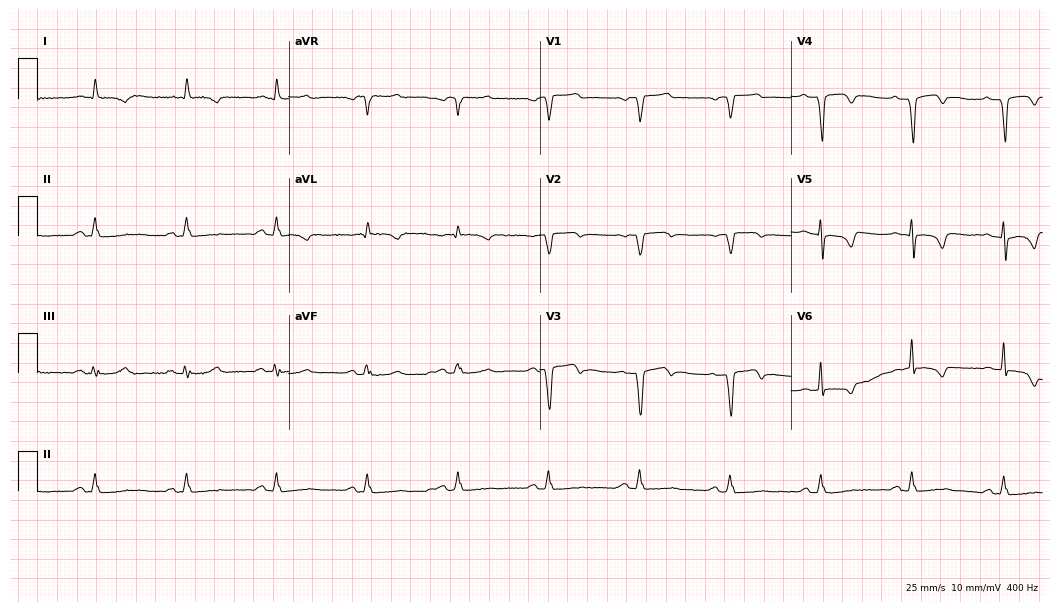
Resting 12-lead electrocardiogram. Patient: an 81-year-old man. None of these six findings is recorded: first-degree AV block, right bundle branch block, left bundle branch block, sinus bradycardia, atrial fibrillation, sinus tachycardia. Other findings, if any, are not listed.